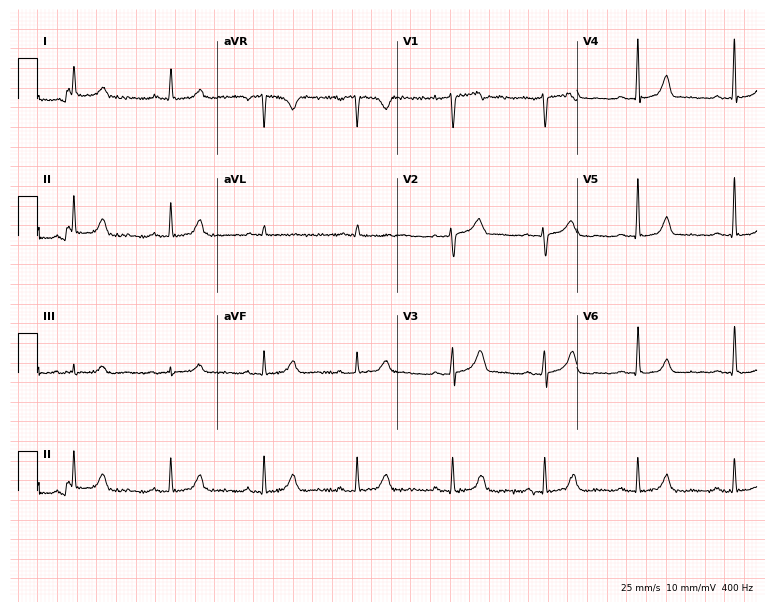
Resting 12-lead electrocardiogram (7.3-second recording at 400 Hz). Patient: a 57-year-old female. None of these six findings is recorded: first-degree AV block, right bundle branch block, left bundle branch block, sinus bradycardia, atrial fibrillation, sinus tachycardia. Findings outside these six are not listed.